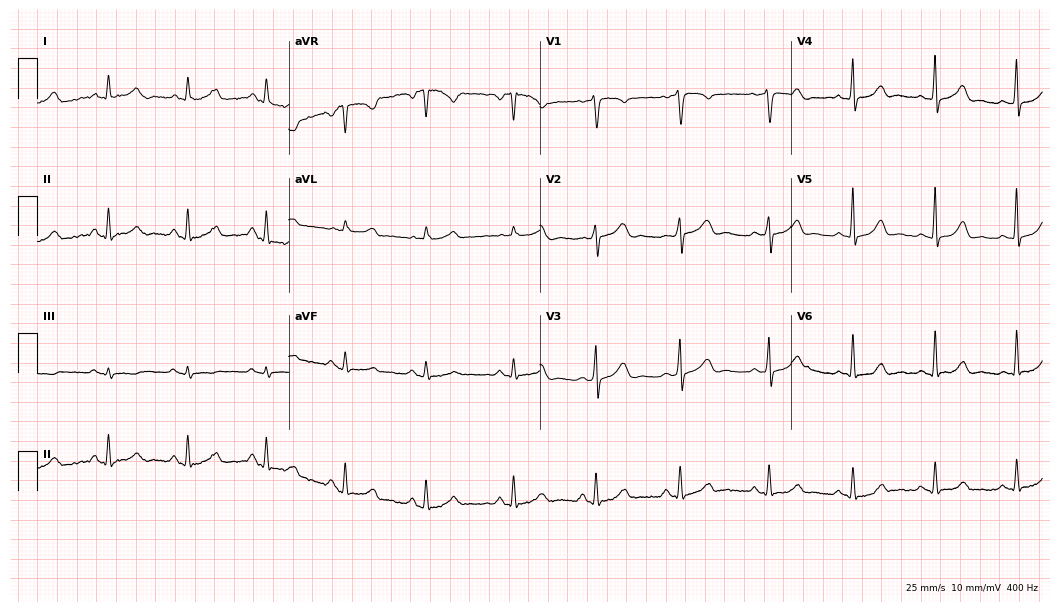
Resting 12-lead electrocardiogram (10.2-second recording at 400 Hz). Patient: a woman, 33 years old. Read as a normal ECG.